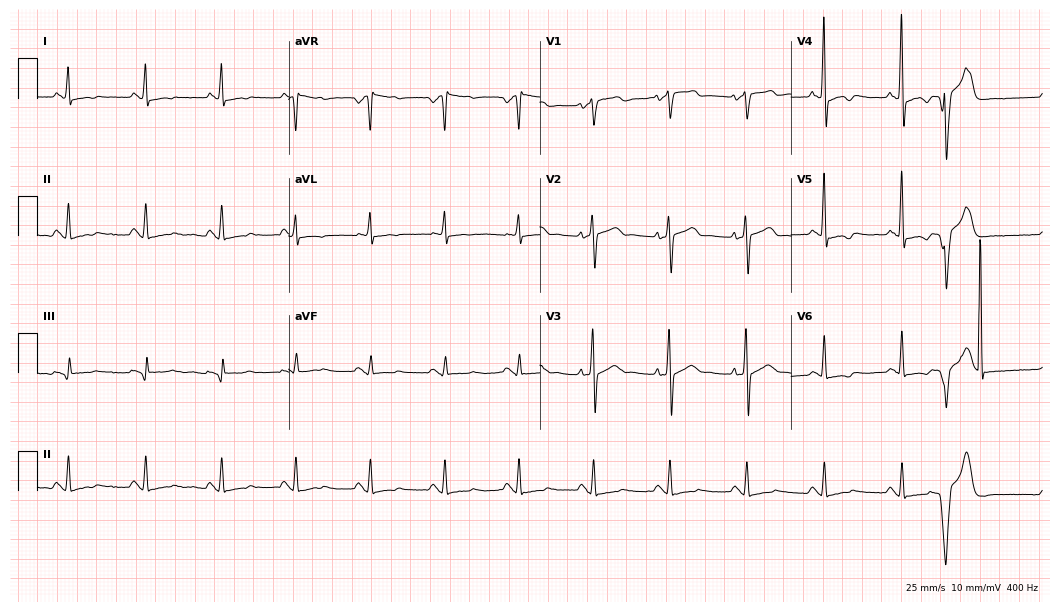
ECG — a female patient, 62 years old. Screened for six findings — first-degree AV block, right bundle branch block, left bundle branch block, sinus bradycardia, atrial fibrillation, sinus tachycardia — none is recorded.